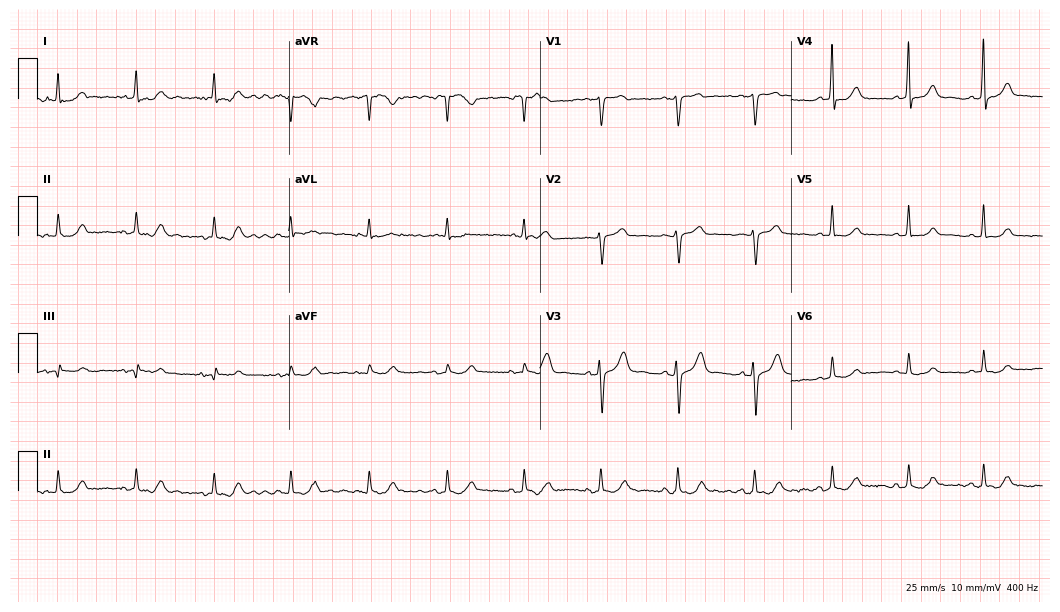
Electrocardiogram, a woman, 52 years old. Of the six screened findings (first-degree AV block, right bundle branch block (RBBB), left bundle branch block (LBBB), sinus bradycardia, atrial fibrillation (AF), sinus tachycardia), none is recorded.